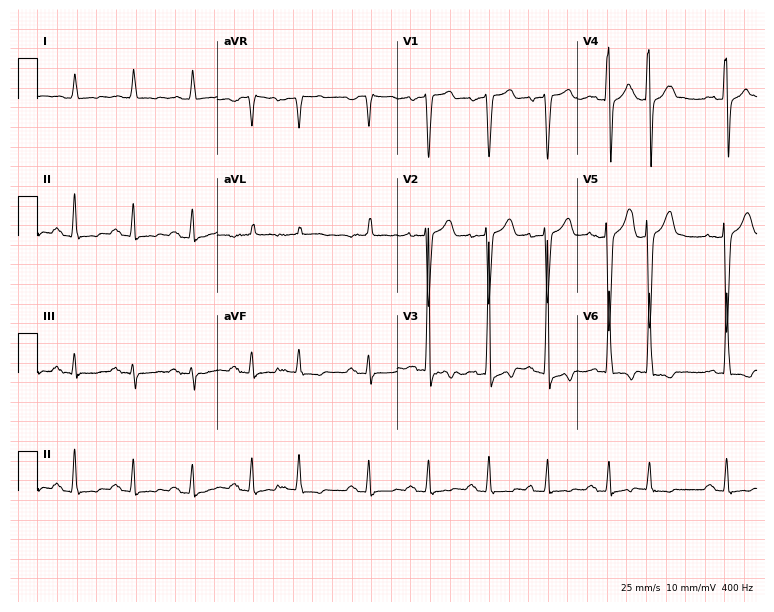
Electrocardiogram, a man, 73 years old. Of the six screened findings (first-degree AV block, right bundle branch block (RBBB), left bundle branch block (LBBB), sinus bradycardia, atrial fibrillation (AF), sinus tachycardia), none is recorded. Findings outside these six are not listed.